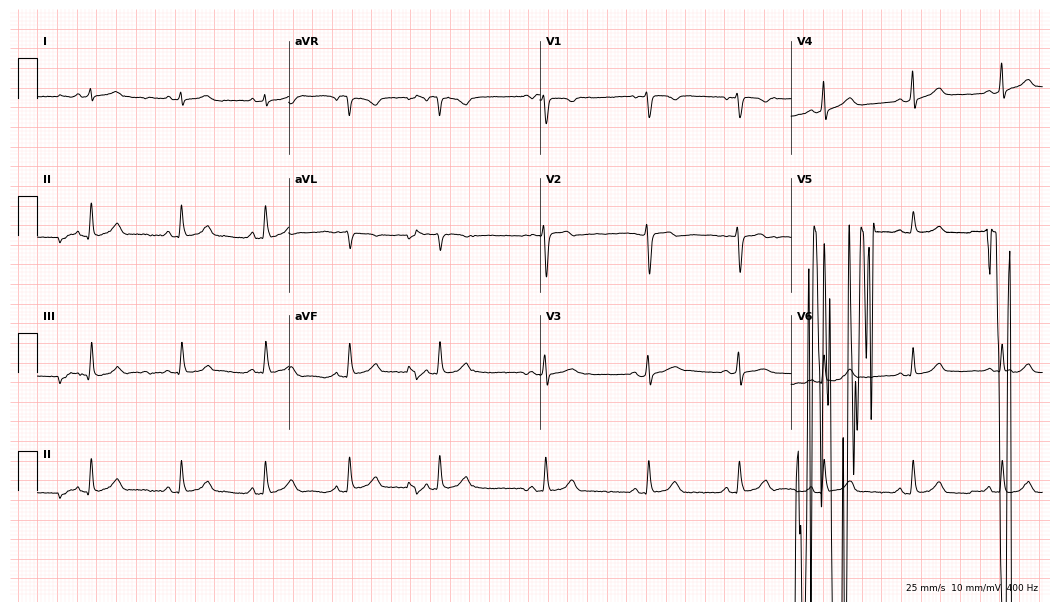
Standard 12-lead ECG recorded from a 28-year-old female. None of these six findings is recorded: first-degree AV block, right bundle branch block, left bundle branch block, sinus bradycardia, atrial fibrillation, sinus tachycardia. Findings outside these six are not listed.